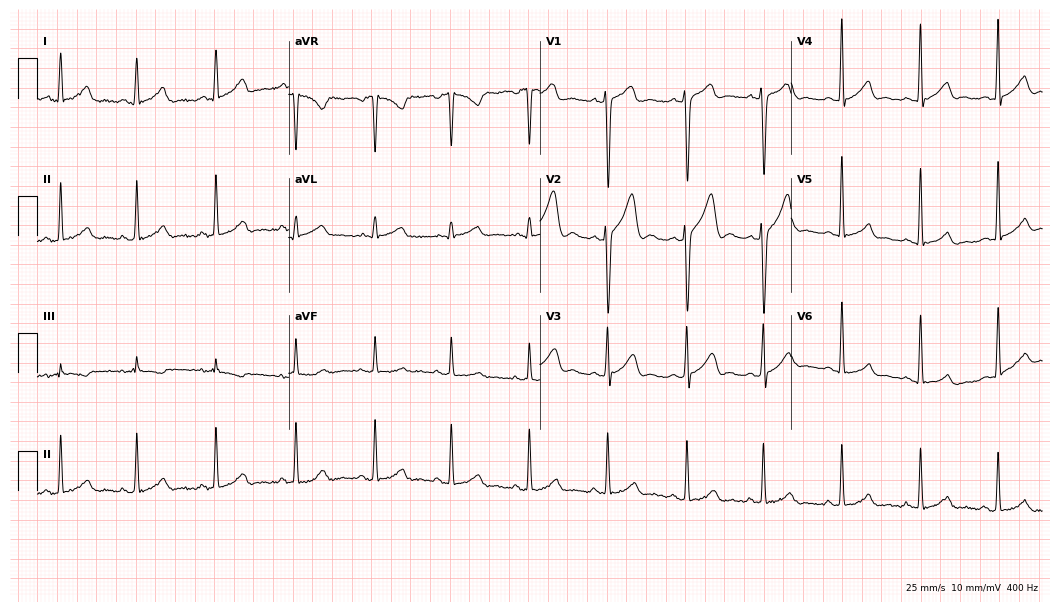
12-lead ECG (10.2-second recording at 400 Hz) from a 32-year-old man. Labelled as a normal ECG.